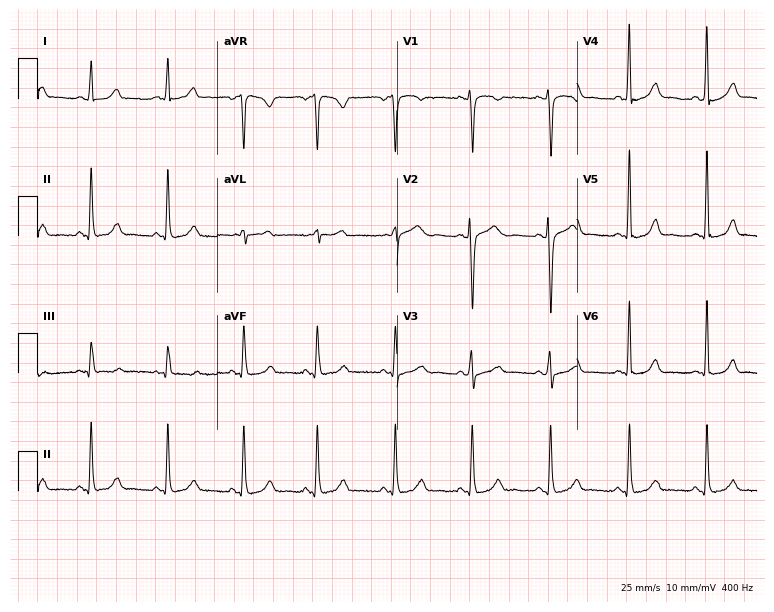
12-lead ECG from a woman, 42 years old (7.3-second recording at 400 Hz). No first-degree AV block, right bundle branch block, left bundle branch block, sinus bradycardia, atrial fibrillation or sinus tachycardia recorded for this tracing. Findings outside these six are not listed.